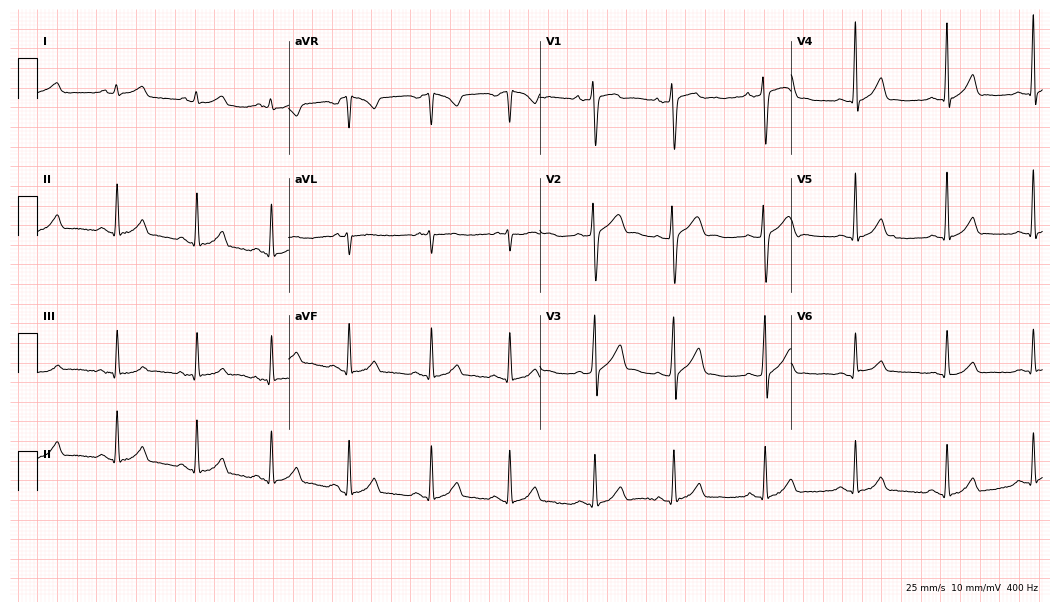
12-lead ECG (10.2-second recording at 400 Hz) from a 19-year-old male patient. Labelled as a normal ECG.